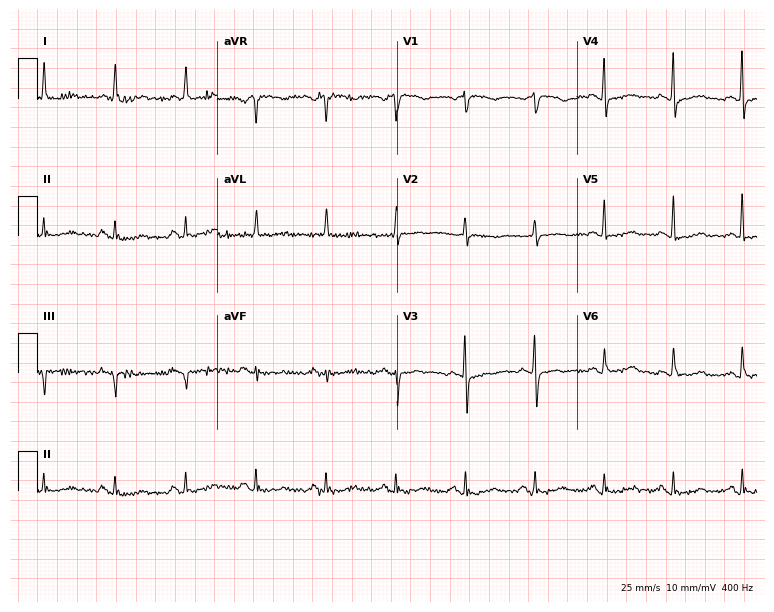
ECG — a 71-year-old female patient. Labelled as a normal ECG.